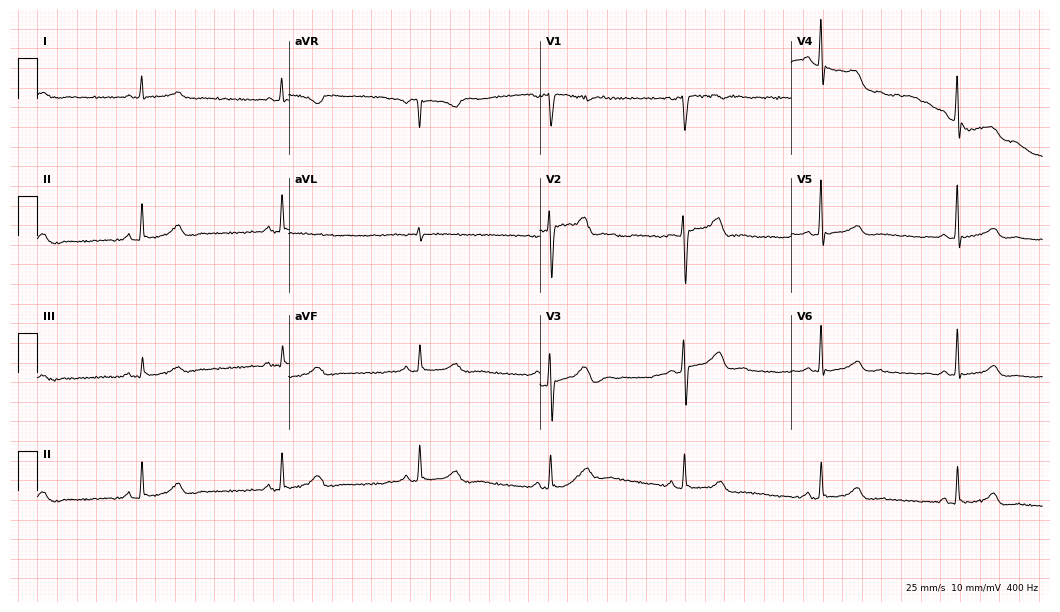
12-lead ECG (10.2-second recording at 400 Hz) from a 52-year-old male patient. Findings include sinus bradycardia (a sinus rate of 50 beats per minute or less).